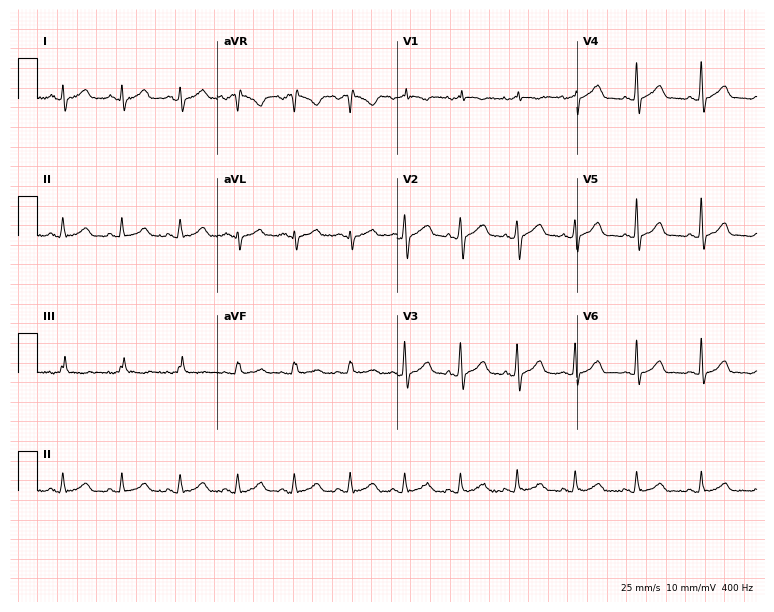
ECG — a 39-year-old man. Labelled as a normal ECG.